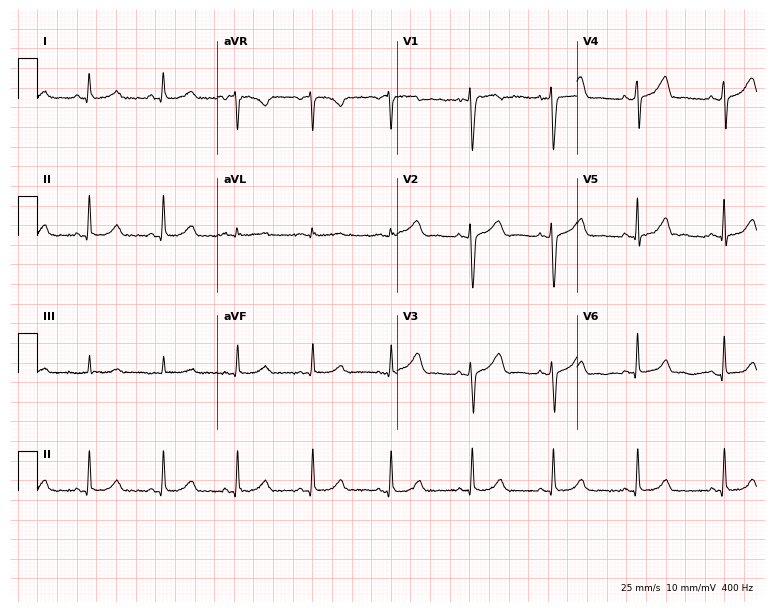
Electrocardiogram (7.3-second recording at 400 Hz), a 46-year-old female patient. Overall reading on record: normal ECG.